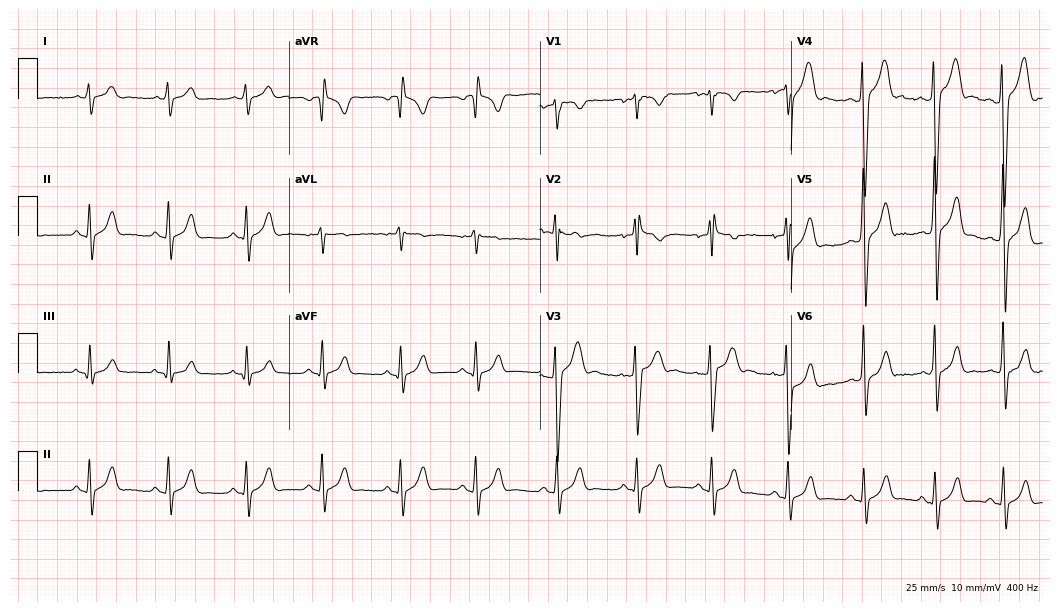
Resting 12-lead electrocardiogram. Patient: a male, 18 years old. None of these six findings is recorded: first-degree AV block, right bundle branch block, left bundle branch block, sinus bradycardia, atrial fibrillation, sinus tachycardia.